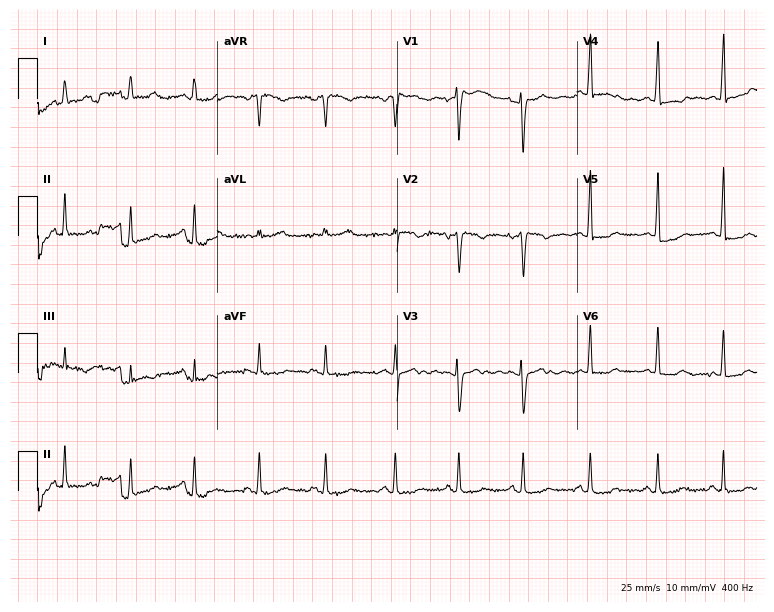
12-lead ECG from a 19-year-old woman. No first-degree AV block, right bundle branch block (RBBB), left bundle branch block (LBBB), sinus bradycardia, atrial fibrillation (AF) or sinus tachycardia recorded for this tracing. Other findings, if any, are not listed.